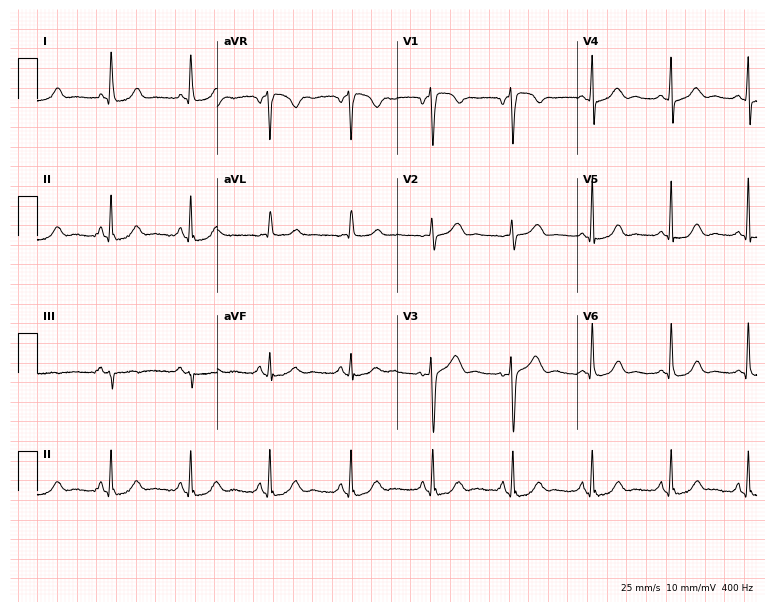
12-lead ECG (7.3-second recording at 400 Hz) from a female, 49 years old. Labelled as a normal ECG.